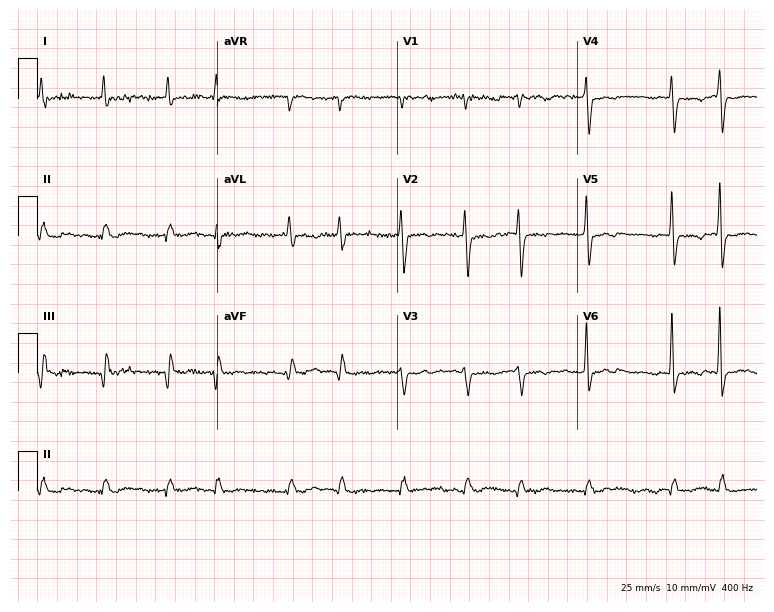
12-lead ECG from a female, 68 years old. Shows atrial fibrillation.